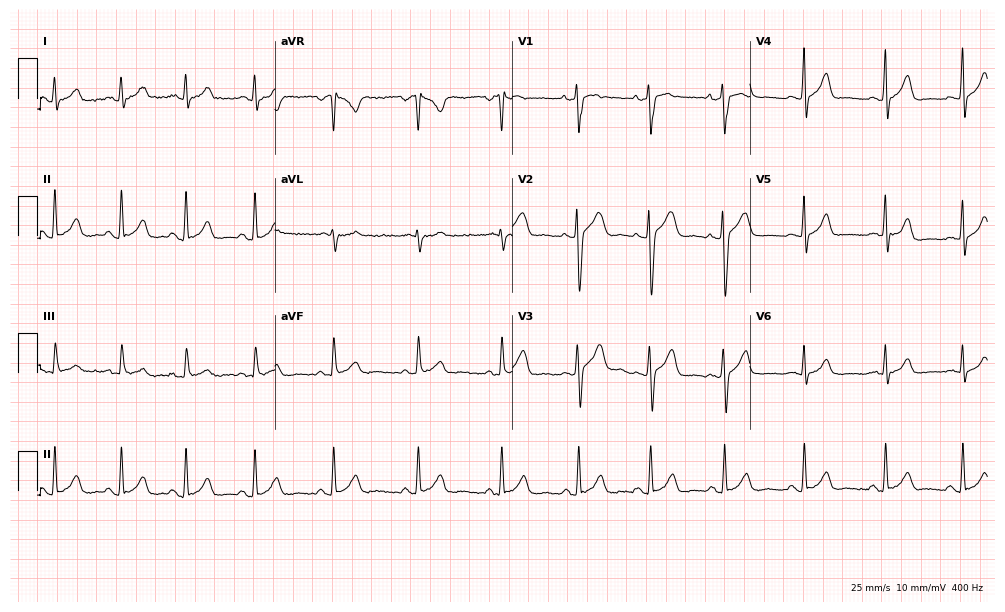
12-lead ECG (9.7-second recording at 400 Hz) from a 21-year-old female. Labelled as a normal ECG.